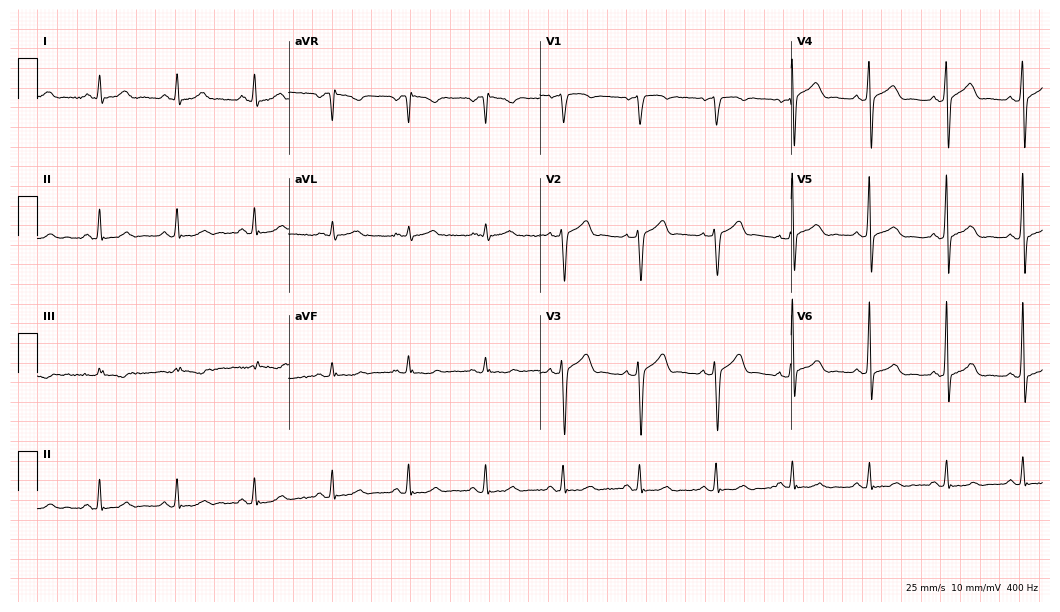
12-lead ECG from a male, 53 years old (10.2-second recording at 400 Hz). Recorded interpretation: within normal limits.